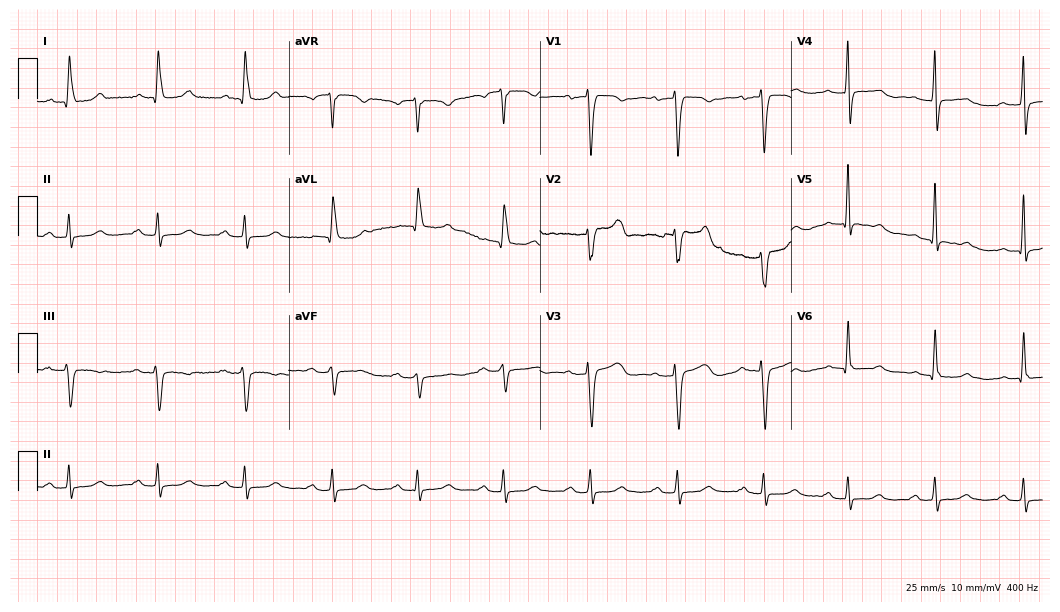
Electrocardiogram (10.2-second recording at 400 Hz), a 54-year-old female. Interpretation includes first-degree AV block.